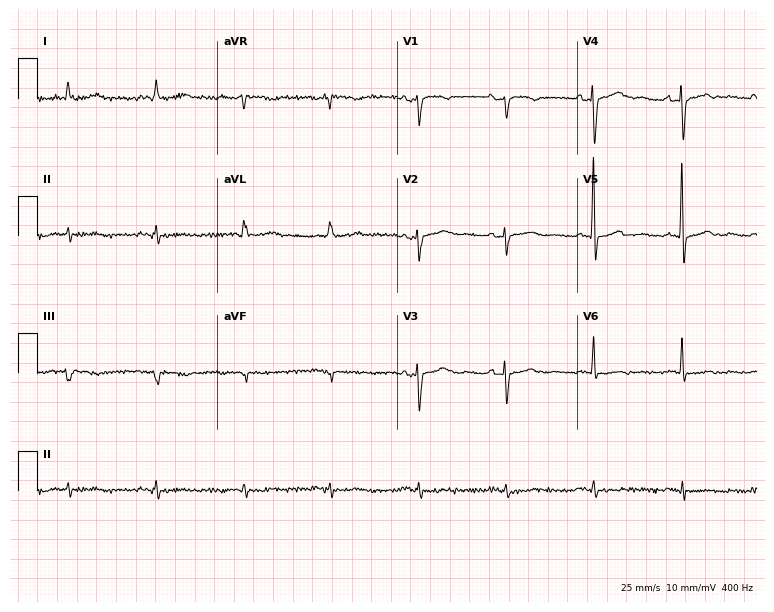
ECG — a female patient, 82 years old. Screened for six findings — first-degree AV block, right bundle branch block, left bundle branch block, sinus bradycardia, atrial fibrillation, sinus tachycardia — none is recorded. Other findings, if any, are not listed.